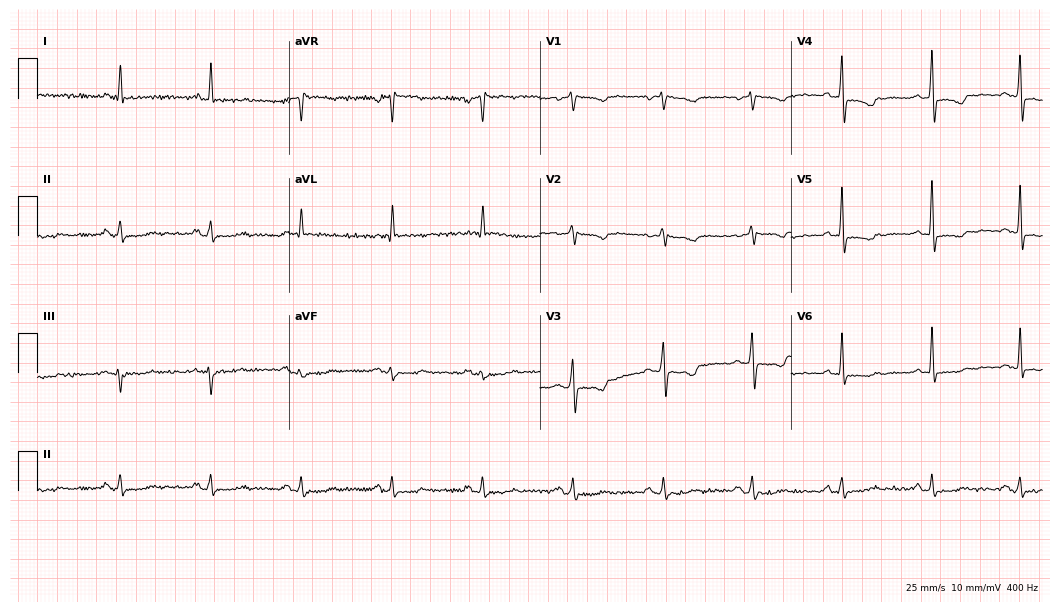
Resting 12-lead electrocardiogram. Patient: a female, 68 years old. None of these six findings is recorded: first-degree AV block, right bundle branch block (RBBB), left bundle branch block (LBBB), sinus bradycardia, atrial fibrillation (AF), sinus tachycardia.